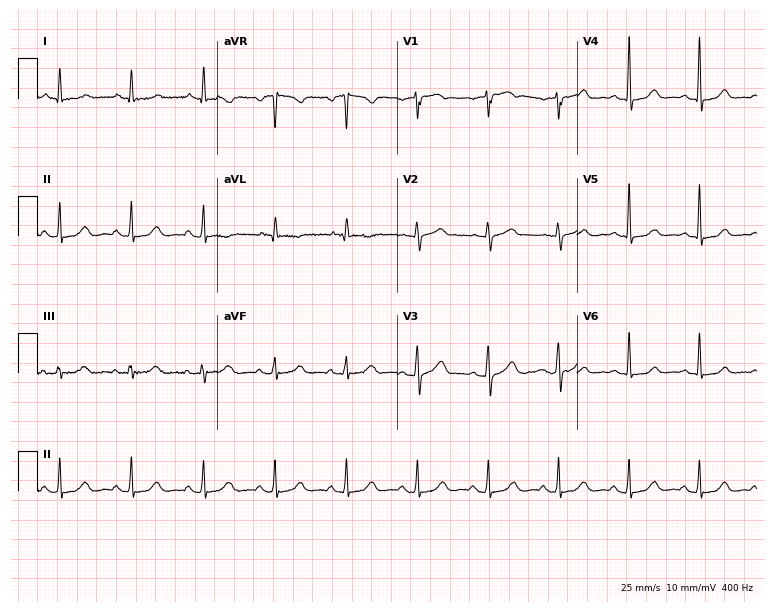
12-lead ECG from a 64-year-old female patient. Labelled as a normal ECG.